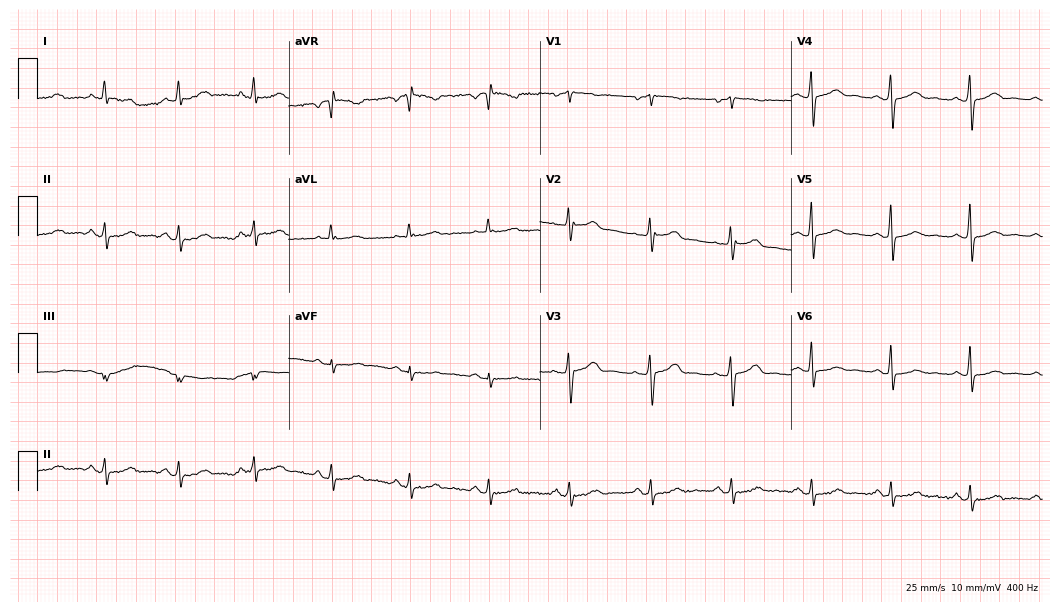
Electrocardiogram, a 47-year-old female. Overall reading on record: normal ECG.